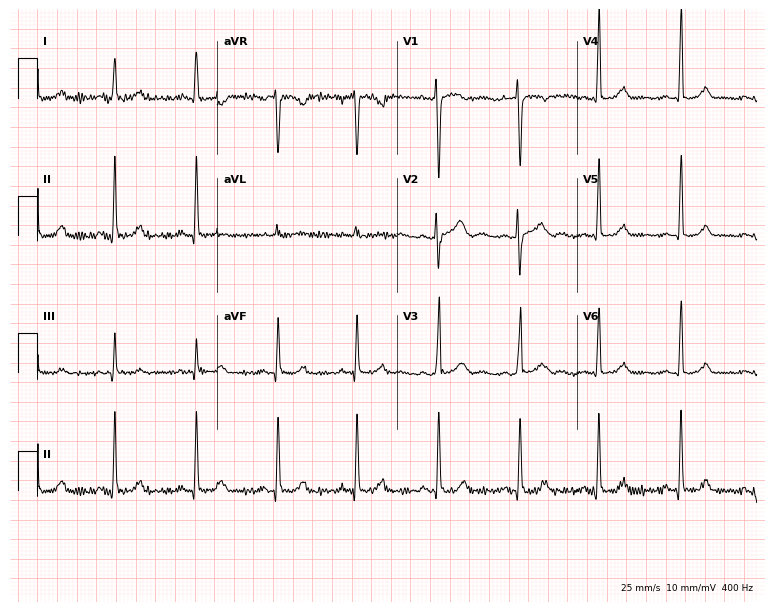
Standard 12-lead ECG recorded from a 25-year-old female patient (7.3-second recording at 400 Hz). None of these six findings is recorded: first-degree AV block, right bundle branch block, left bundle branch block, sinus bradycardia, atrial fibrillation, sinus tachycardia. Other findings, if any, are not listed.